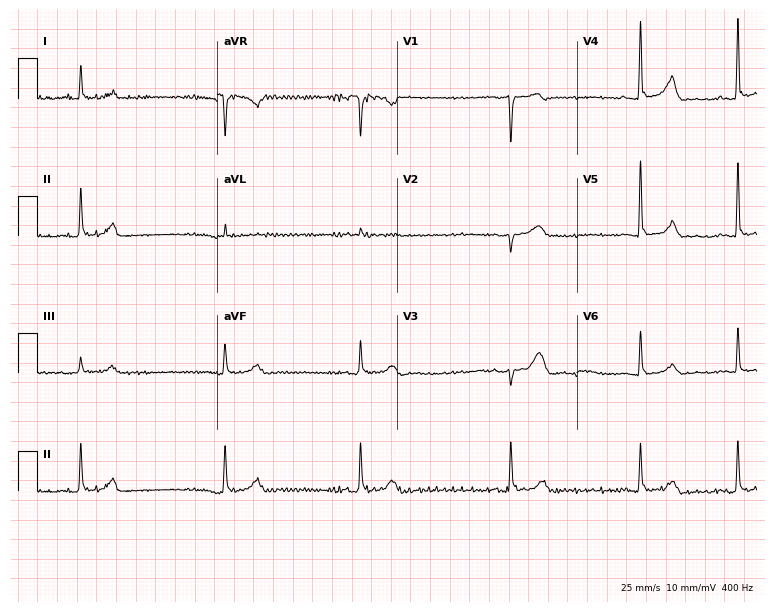
12-lead ECG from a 75-year-old female. Screened for six findings — first-degree AV block, right bundle branch block, left bundle branch block, sinus bradycardia, atrial fibrillation, sinus tachycardia — none is recorded.